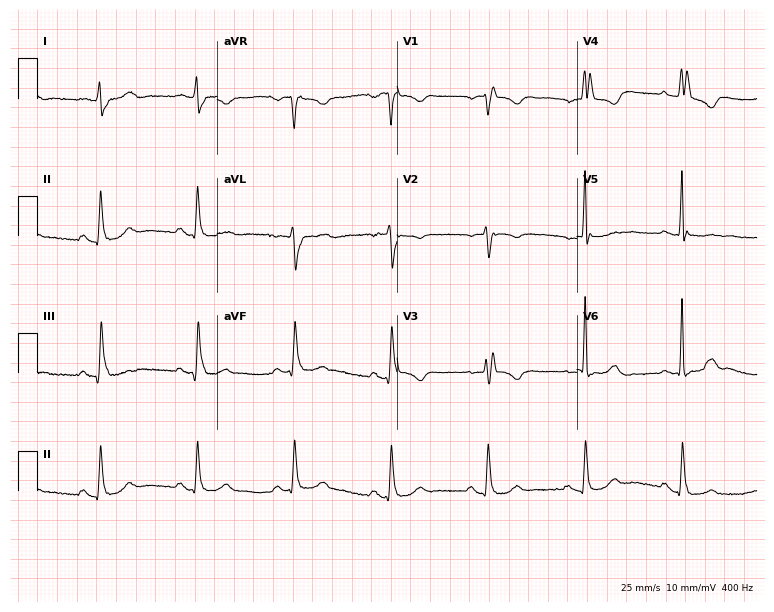
Standard 12-lead ECG recorded from a 70-year-old female (7.3-second recording at 400 Hz). The tracing shows right bundle branch block.